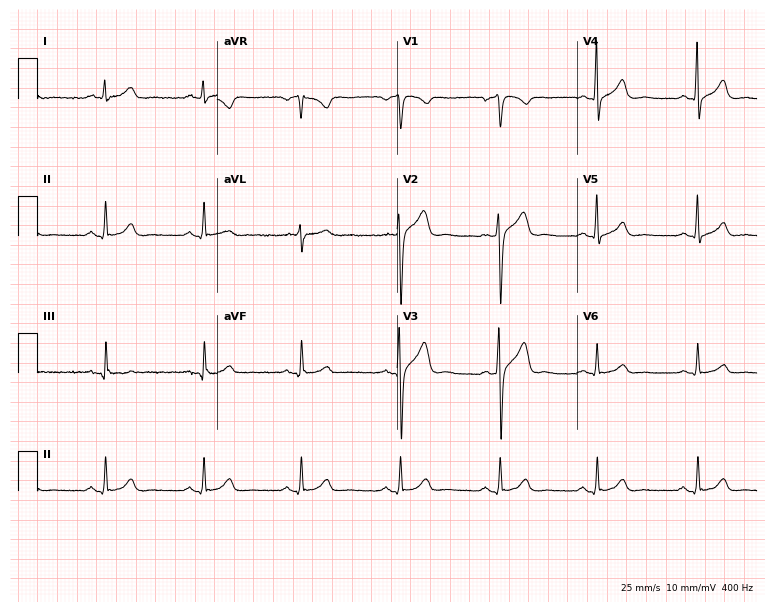
12-lead ECG from a 39-year-old male patient (7.3-second recording at 400 Hz). No first-degree AV block, right bundle branch block (RBBB), left bundle branch block (LBBB), sinus bradycardia, atrial fibrillation (AF) or sinus tachycardia recorded for this tracing. Findings outside these six are not listed.